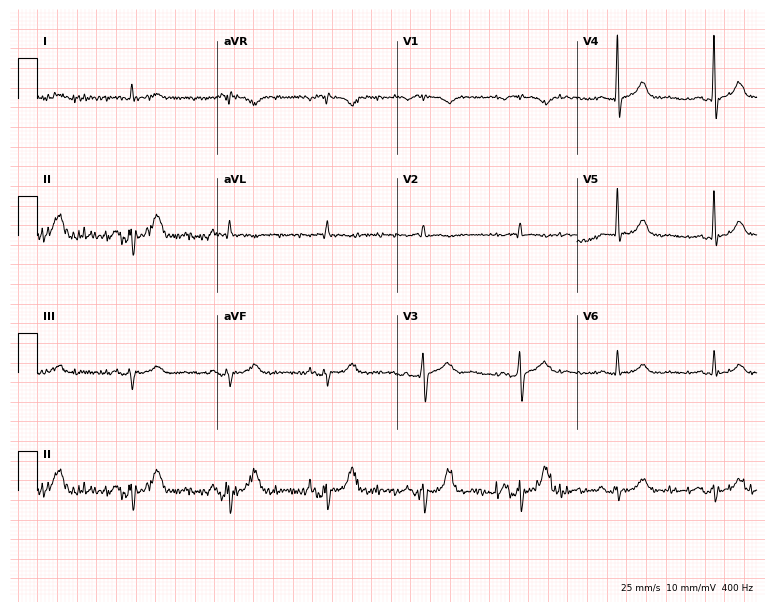
Resting 12-lead electrocardiogram (7.3-second recording at 400 Hz). Patient: a male, 78 years old. None of these six findings is recorded: first-degree AV block, right bundle branch block, left bundle branch block, sinus bradycardia, atrial fibrillation, sinus tachycardia. Only these six findings were labelled.